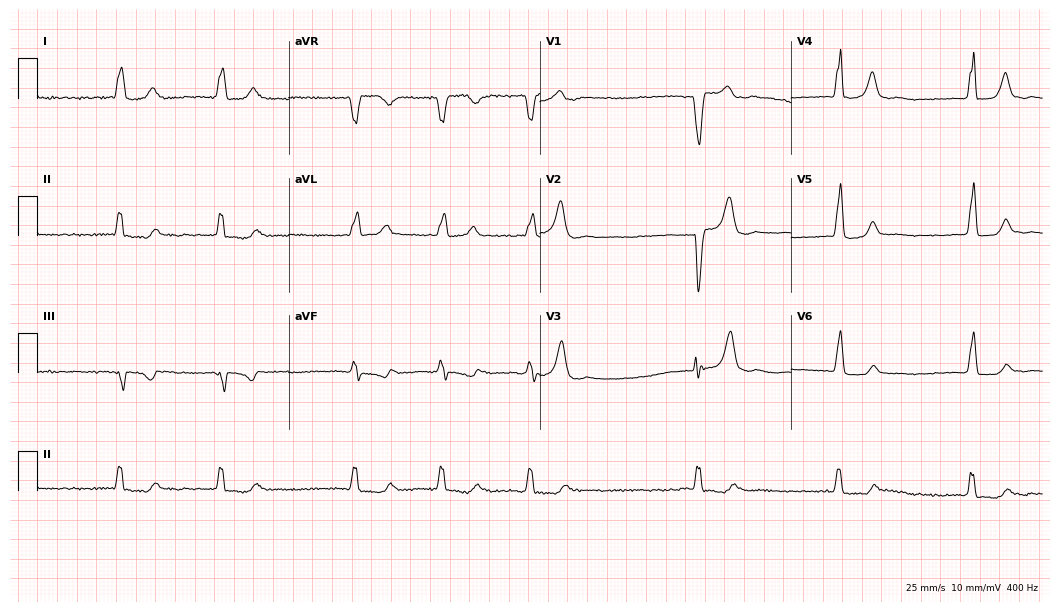
12-lead ECG from a woman, 62 years old. Findings include left bundle branch block (LBBB), atrial fibrillation (AF).